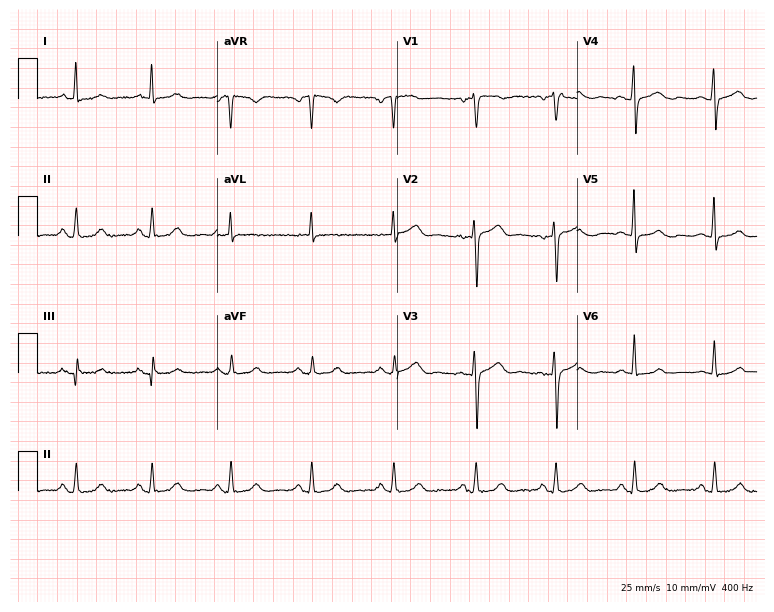
Electrocardiogram, a woman, 54 years old. Overall reading on record: normal ECG.